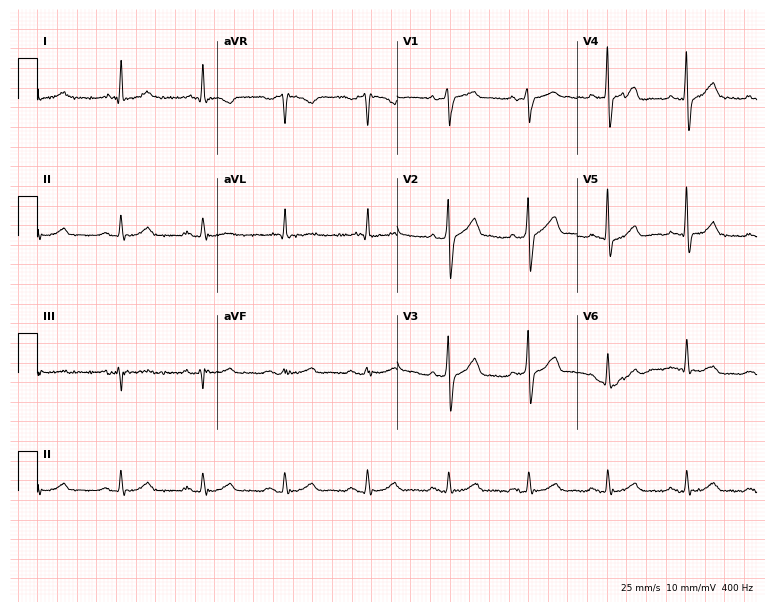
ECG — a 78-year-old male patient. Labelled as a normal ECG.